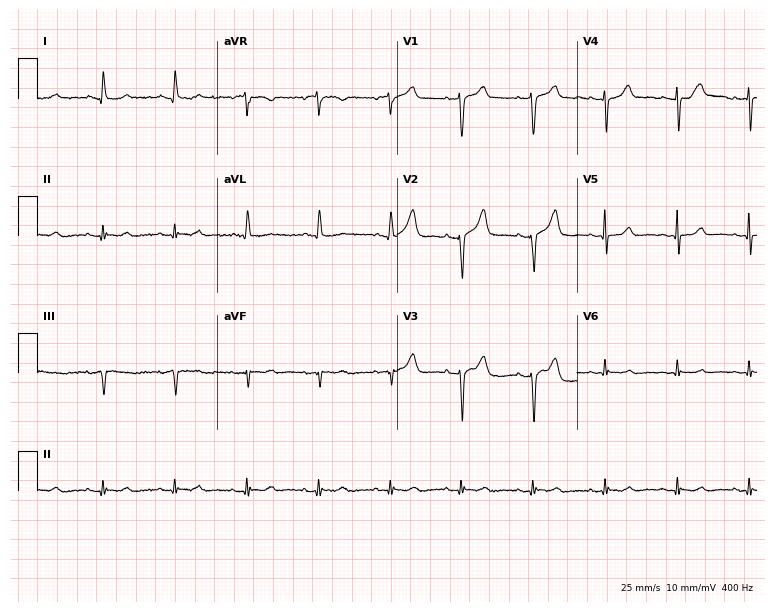
12-lead ECG (7.3-second recording at 400 Hz) from an 81-year-old female. Labelled as a normal ECG.